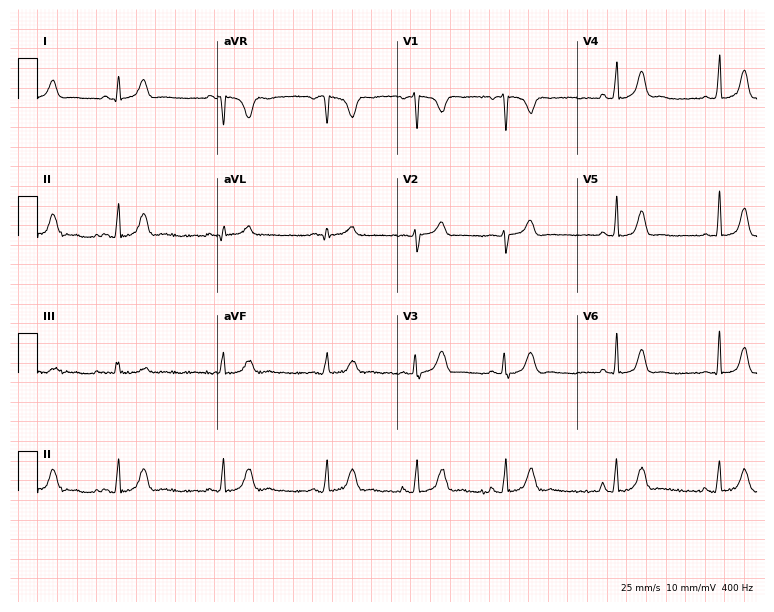
Electrocardiogram (7.3-second recording at 400 Hz), a 21-year-old female. Overall reading on record: normal ECG.